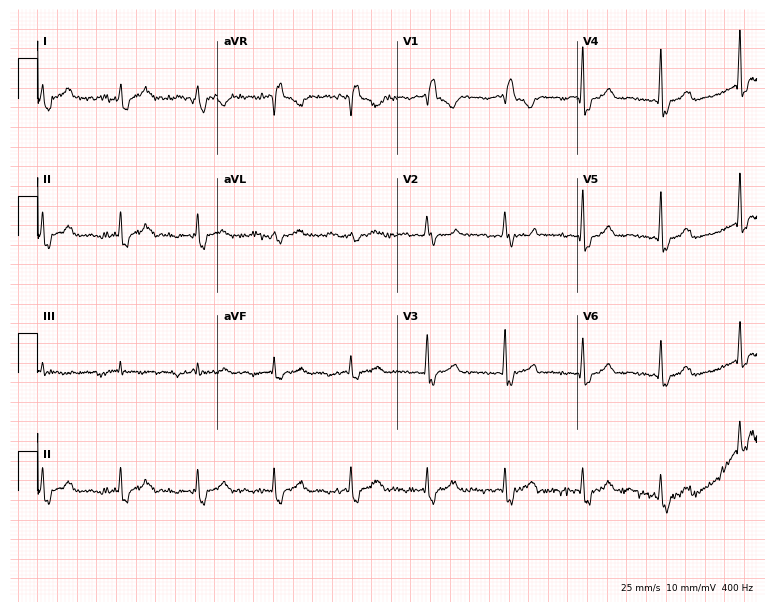
12-lead ECG (7.3-second recording at 400 Hz) from a female patient, 38 years old. Screened for six findings — first-degree AV block, right bundle branch block, left bundle branch block, sinus bradycardia, atrial fibrillation, sinus tachycardia — none is recorded. Findings outside these six are not listed.